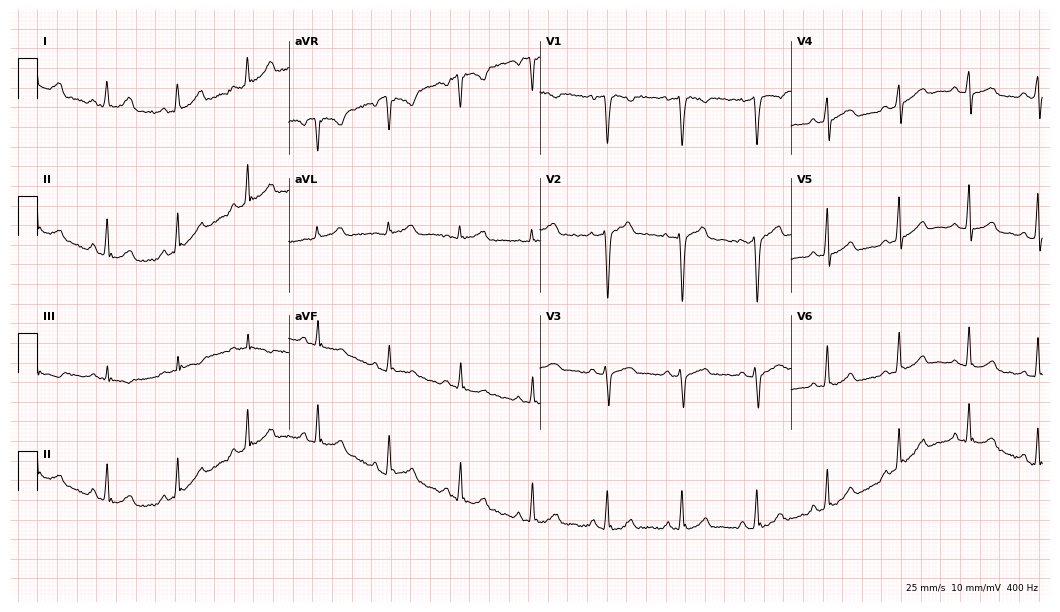
ECG (10.2-second recording at 400 Hz) — a woman, 32 years old. Screened for six findings — first-degree AV block, right bundle branch block, left bundle branch block, sinus bradycardia, atrial fibrillation, sinus tachycardia — none is recorded. Only these six findings were labelled.